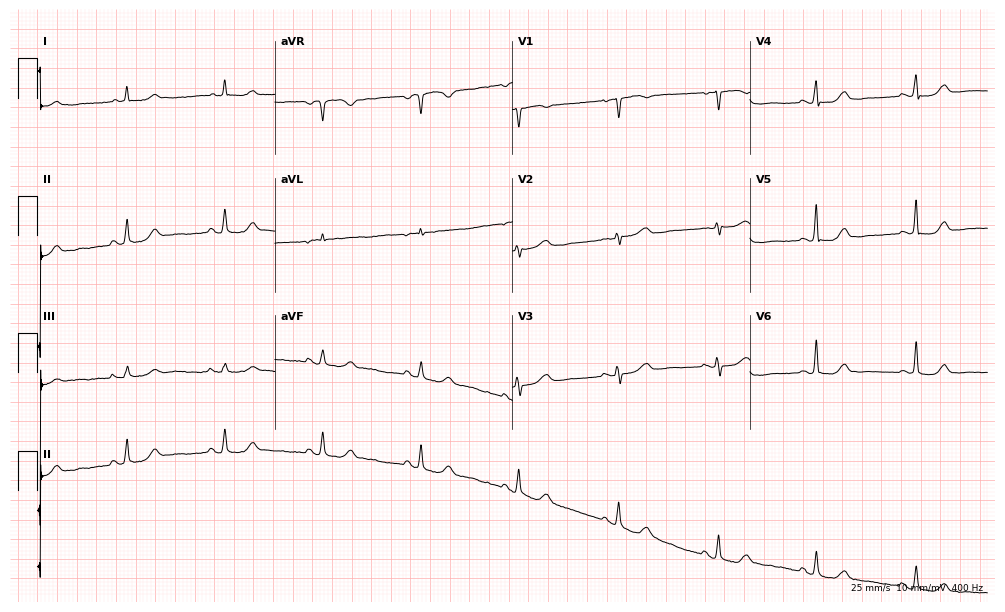
12-lead ECG from a female, 82 years old (9.7-second recording at 400 Hz). No first-degree AV block, right bundle branch block, left bundle branch block, sinus bradycardia, atrial fibrillation or sinus tachycardia recorded for this tracing. Findings outside these six are not listed.